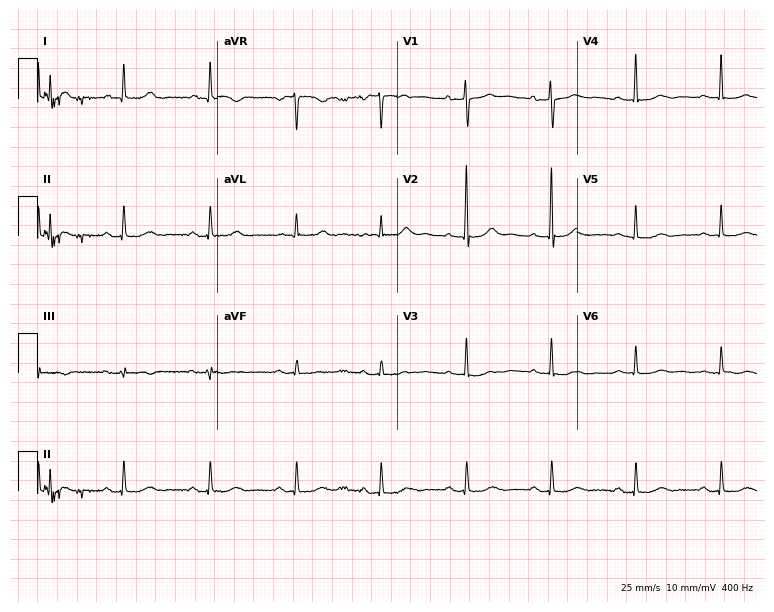
12-lead ECG (7.3-second recording at 400 Hz) from a 76-year-old female. Labelled as a normal ECG.